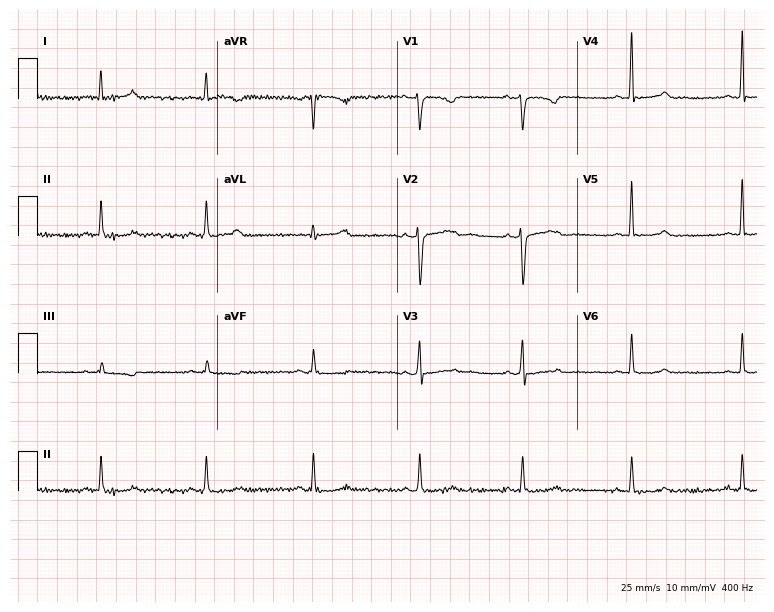
12-lead ECG (7.3-second recording at 400 Hz) from a female patient, 41 years old. Screened for six findings — first-degree AV block, right bundle branch block, left bundle branch block, sinus bradycardia, atrial fibrillation, sinus tachycardia — none is recorded. Other findings, if any, are not listed.